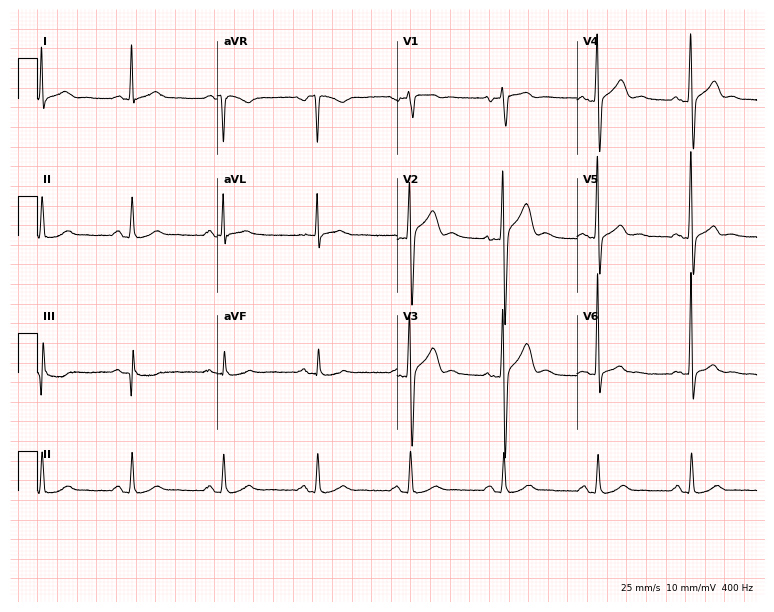
12-lead ECG from a 60-year-old man. Recorded interpretation: within normal limits.